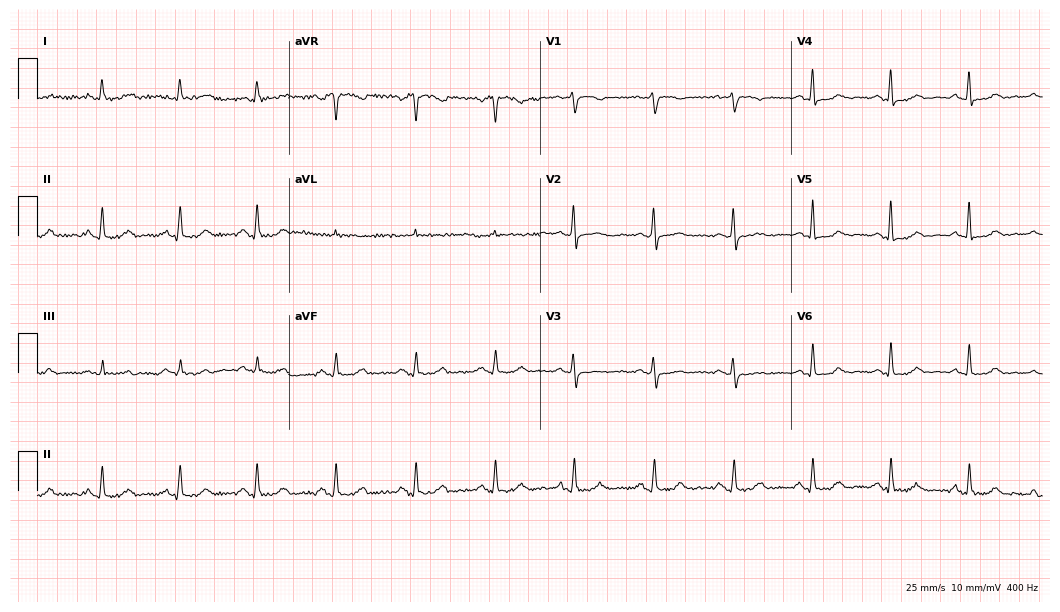
Electrocardiogram (10.2-second recording at 400 Hz), a female, 28 years old. Overall reading on record: normal ECG.